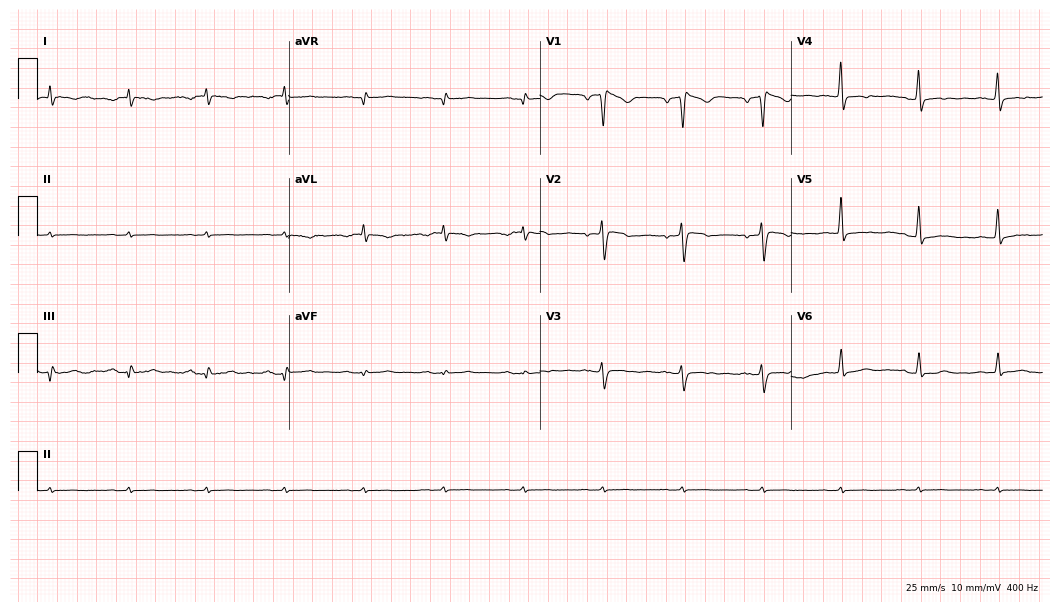
Electrocardiogram (10.2-second recording at 400 Hz), a 68-year-old male patient. Of the six screened findings (first-degree AV block, right bundle branch block (RBBB), left bundle branch block (LBBB), sinus bradycardia, atrial fibrillation (AF), sinus tachycardia), none is recorded. Findings outside these six are not listed.